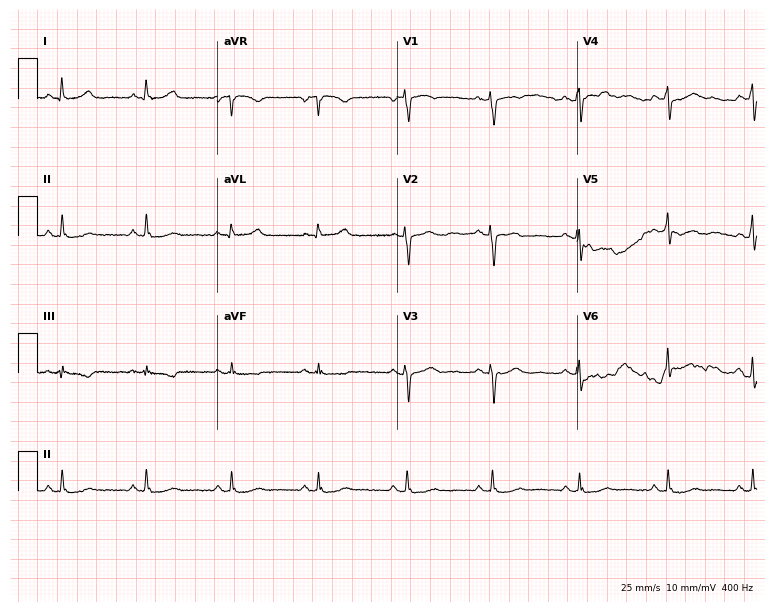
12-lead ECG from a 50-year-old woman. Screened for six findings — first-degree AV block, right bundle branch block, left bundle branch block, sinus bradycardia, atrial fibrillation, sinus tachycardia — none is recorded. Other findings, if any, are not listed.